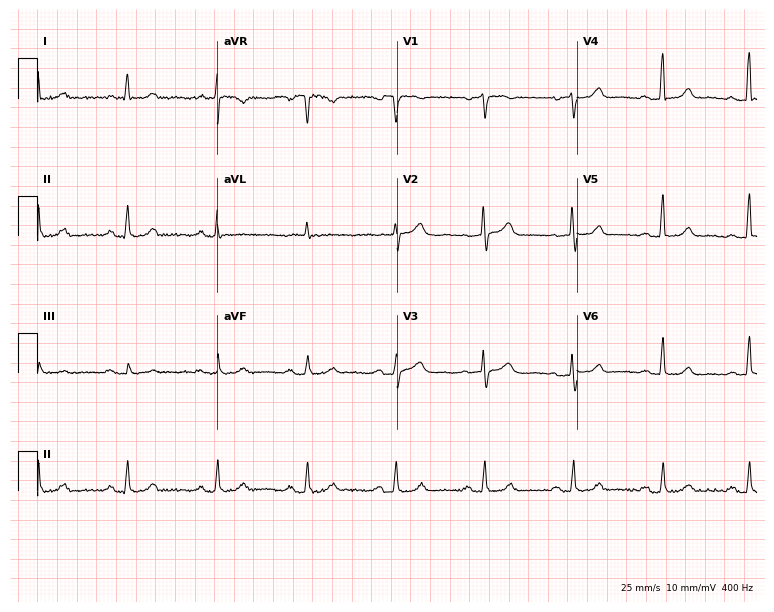
Resting 12-lead electrocardiogram. Patient: a 64-year-old female. Read as a normal ECG.